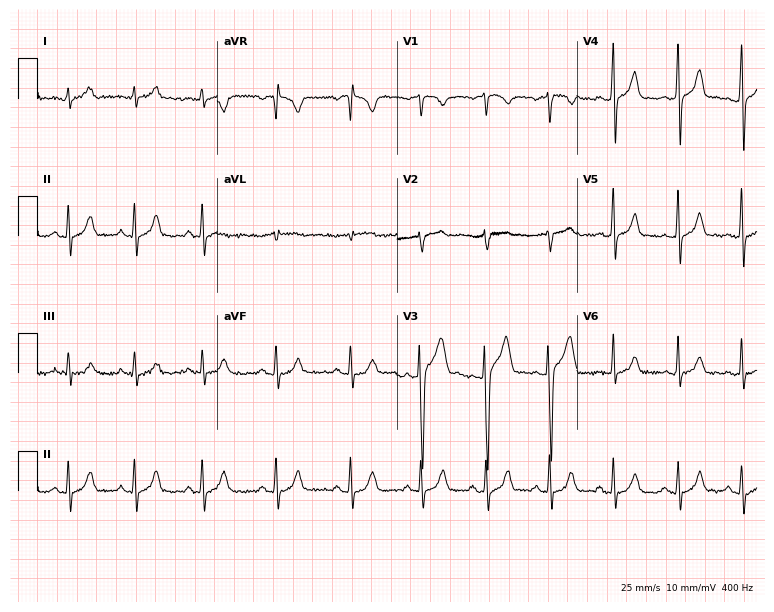
Standard 12-lead ECG recorded from a 29-year-old male. Read as a normal ECG.